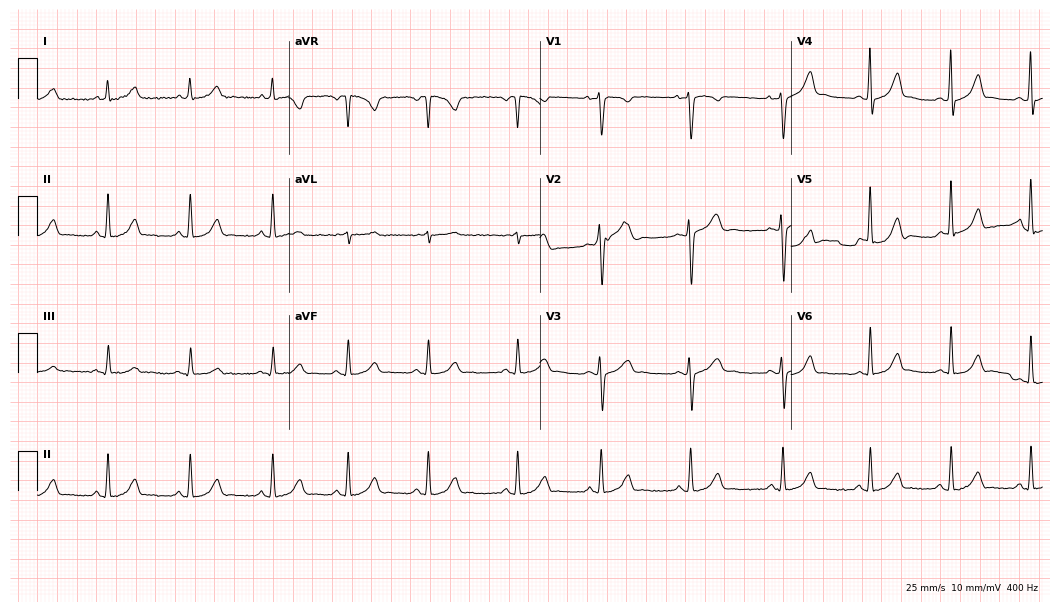
Standard 12-lead ECG recorded from a woman, 21 years old (10.2-second recording at 400 Hz). Read as a normal ECG.